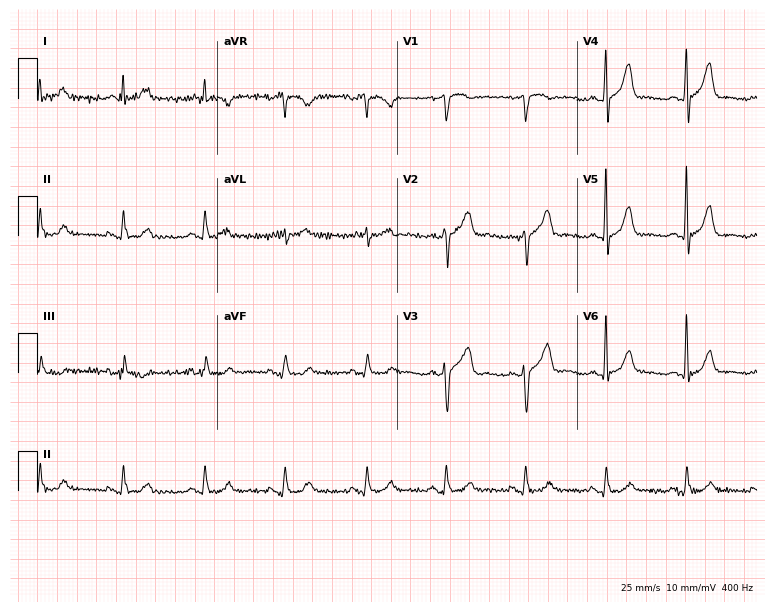
12-lead ECG from a man, 78 years old (7.3-second recording at 400 Hz). Recorded interpretation: within normal limits.